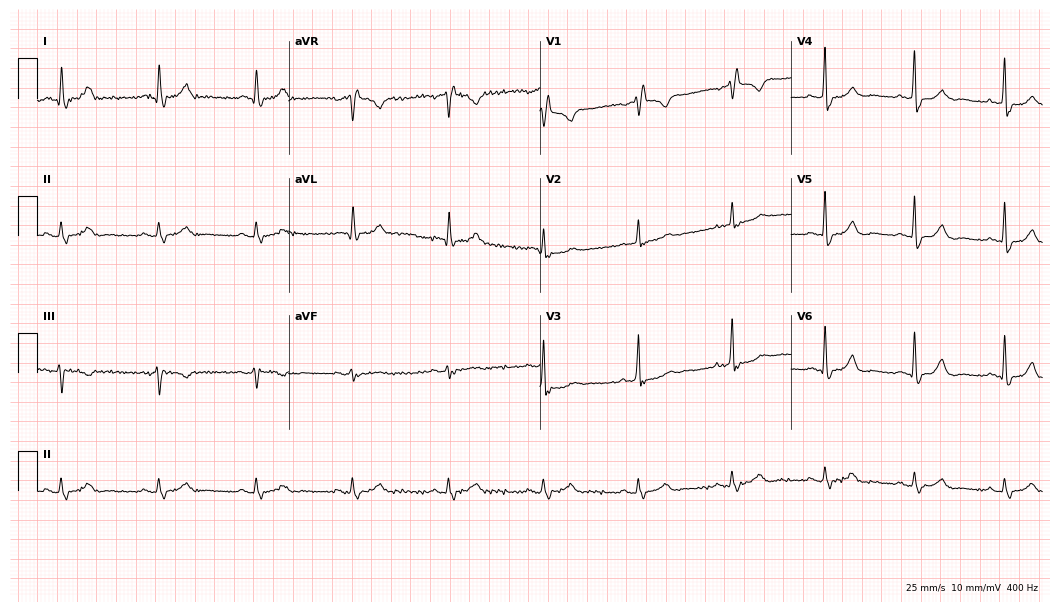
12-lead ECG from a man, 73 years old. Screened for six findings — first-degree AV block, right bundle branch block, left bundle branch block, sinus bradycardia, atrial fibrillation, sinus tachycardia — none is recorded. Other findings, if any, are not listed.